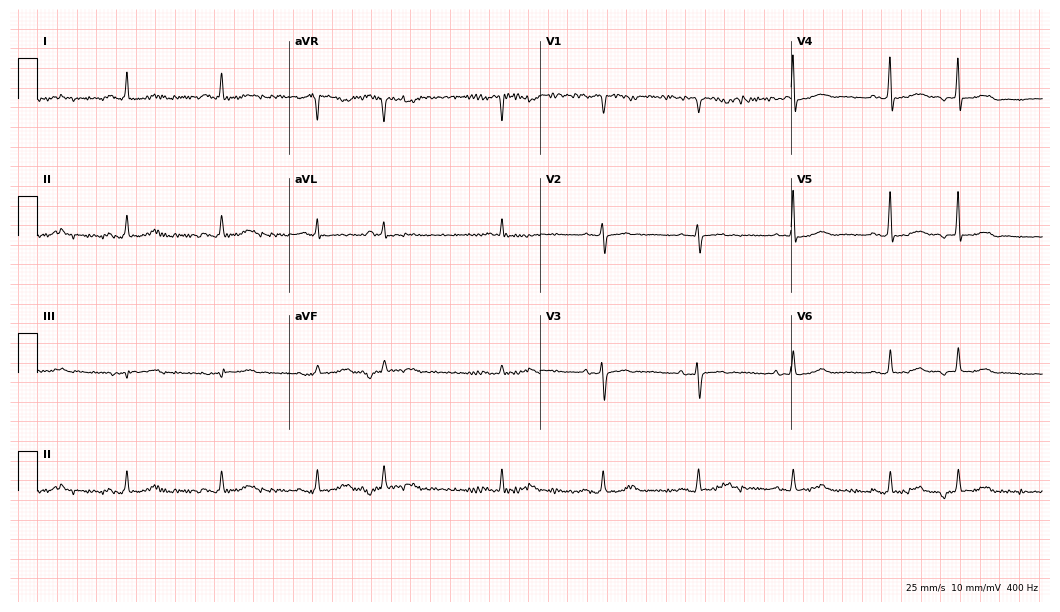
12-lead ECG from a female, 73 years old. No first-degree AV block, right bundle branch block (RBBB), left bundle branch block (LBBB), sinus bradycardia, atrial fibrillation (AF) or sinus tachycardia recorded for this tracing. Findings outside these six are not listed.